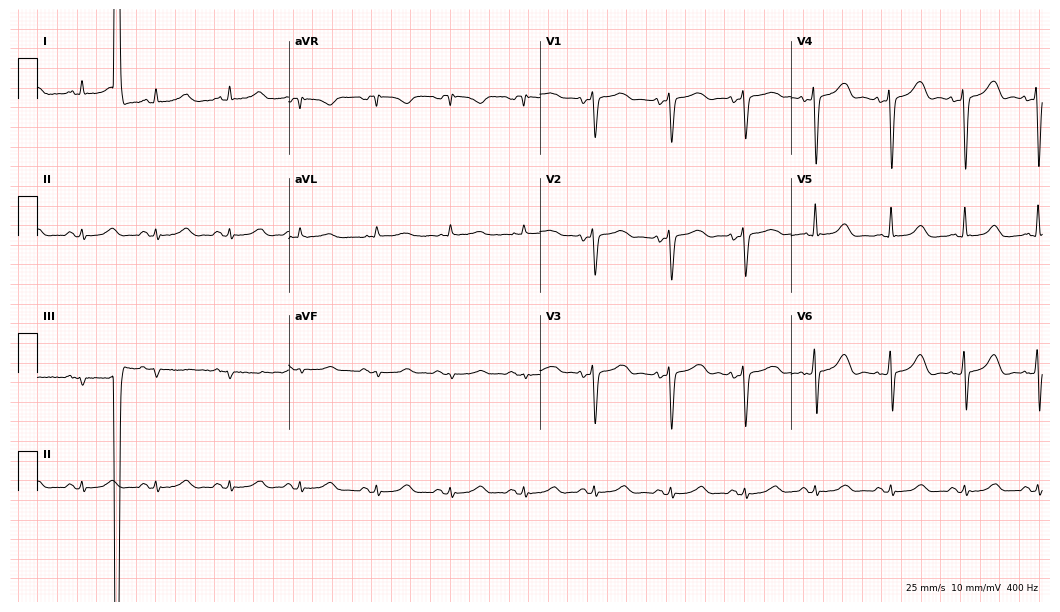
12-lead ECG from a male, 57 years old. Screened for six findings — first-degree AV block, right bundle branch block, left bundle branch block, sinus bradycardia, atrial fibrillation, sinus tachycardia — none is recorded. Only these six findings were labelled.